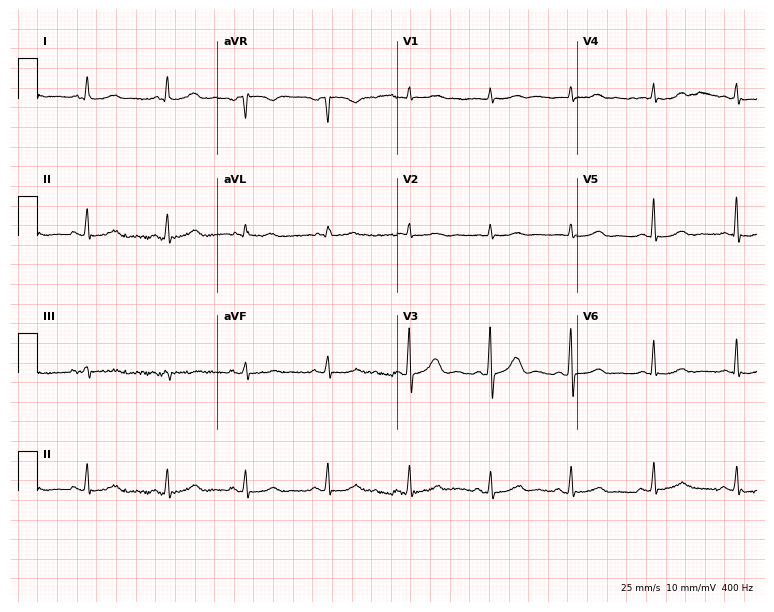
12-lead ECG from a 66-year-old female (7.3-second recording at 400 Hz). No first-degree AV block, right bundle branch block, left bundle branch block, sinus bradycardia, atrial fibrillation or sinus tachycardia recorded for this tracing.